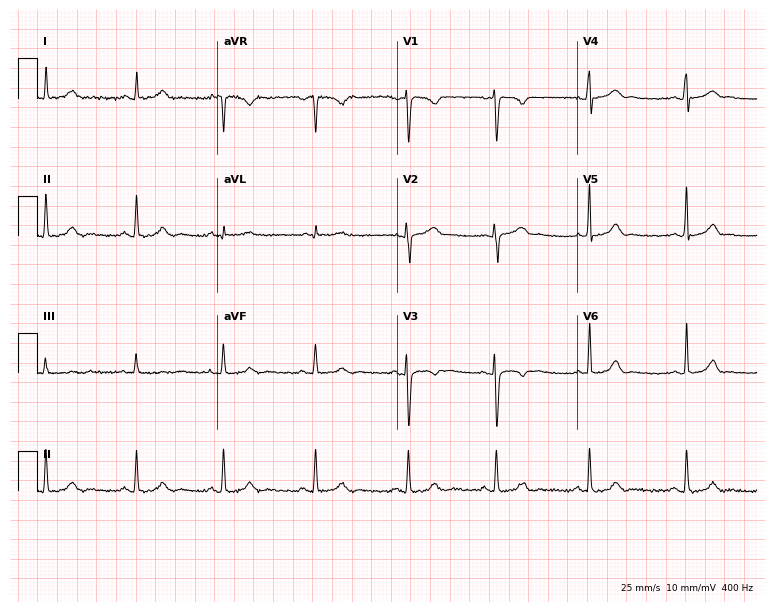
Resting 12-lead electrocardiogram. Patient: a 22-year-old woman. Read as a normal ECG.